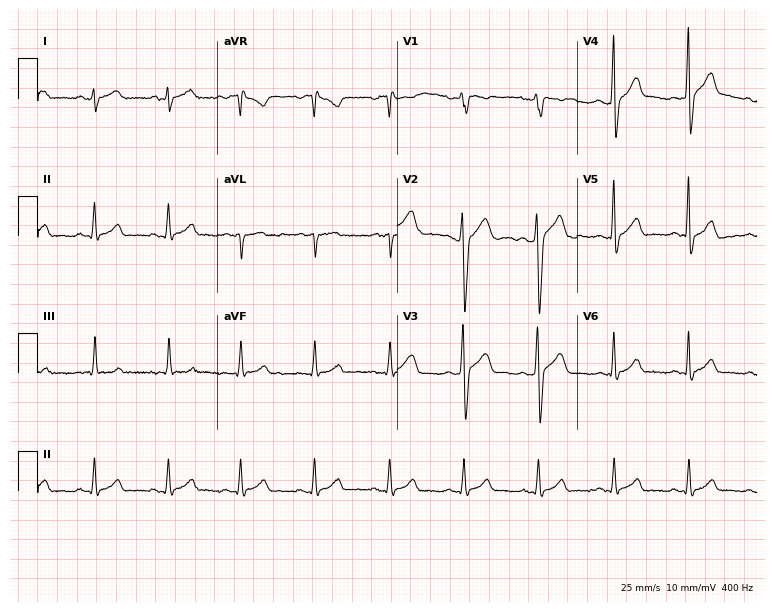
12-lead ECG from a 26-year-old male (7.3-second recording at 400 Hz). No first-degree AV block, right bundle branch block (RBBB), left bundle branch block (LBBB), sinus bradycardia, atrial fibrillation (AF) or sinus tachycardia recorded for this tracing.